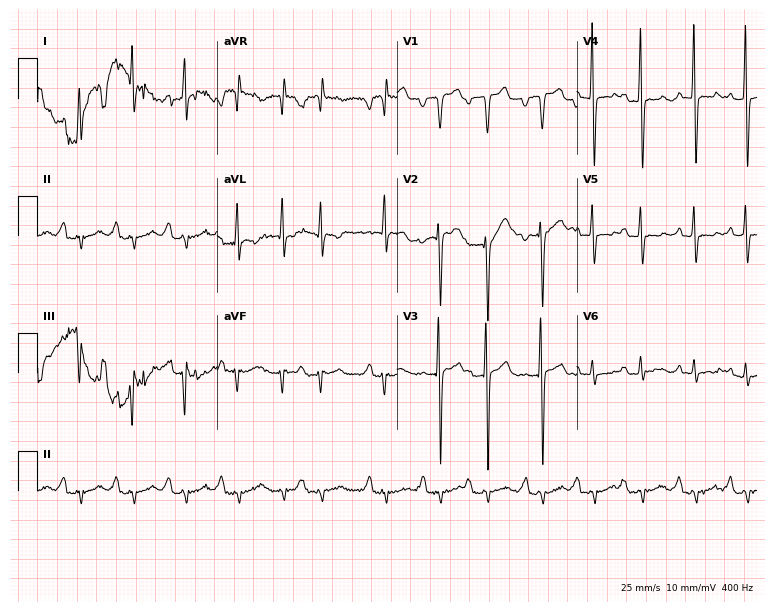
Standard 12-lead ECG recorded from a male patient, 56 years old (7.3-second recording at 400 Hz). None of these six findings is recorded: first-degree AV block, right bundle branch block, left bundle branch block, sinus bradycardia, atrial fibrillation, sinus tachycardia. Other findings, if any, are not listed.